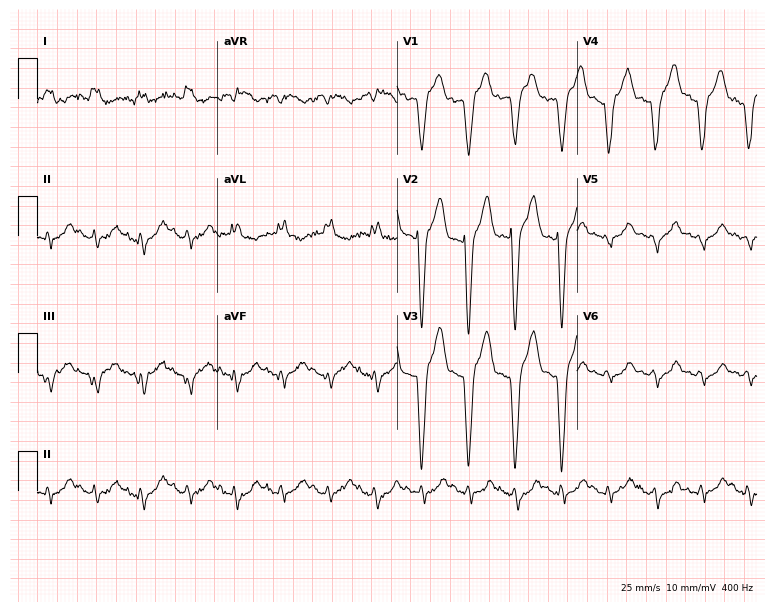
Electrocardiogram, an 85-year-old woman. Interpretation includes sinus tachycardia (a sinus rate of 100 beats per minute or more).